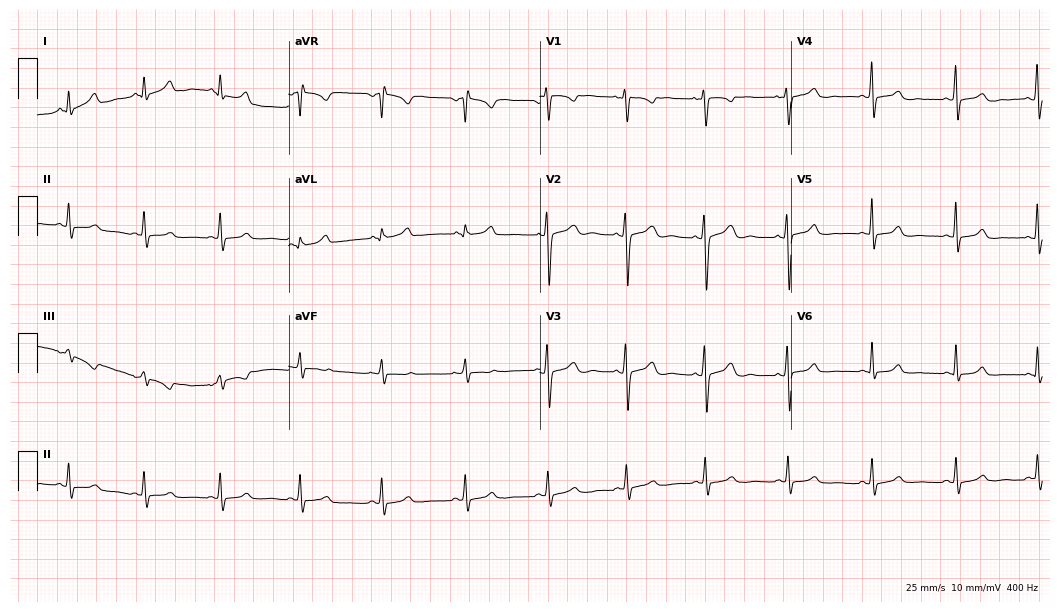
Electrocardiogram, an 18-year-old woman. Overall reading on record: normal ECG.